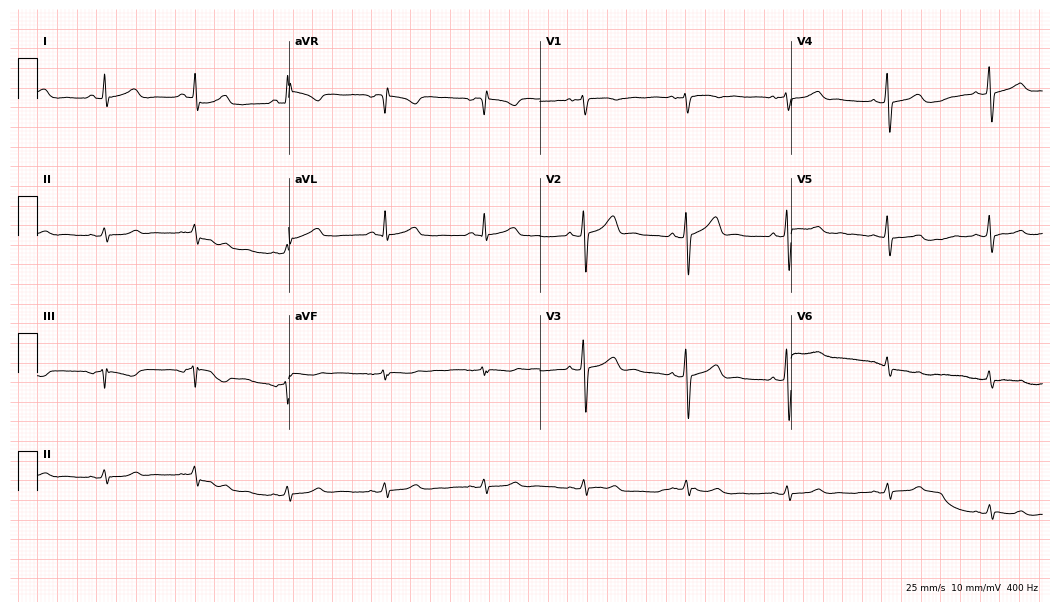
ECG (10.2-second recording at 400 Hz) — a 42-year-old male. Labelled as a normal ECG.